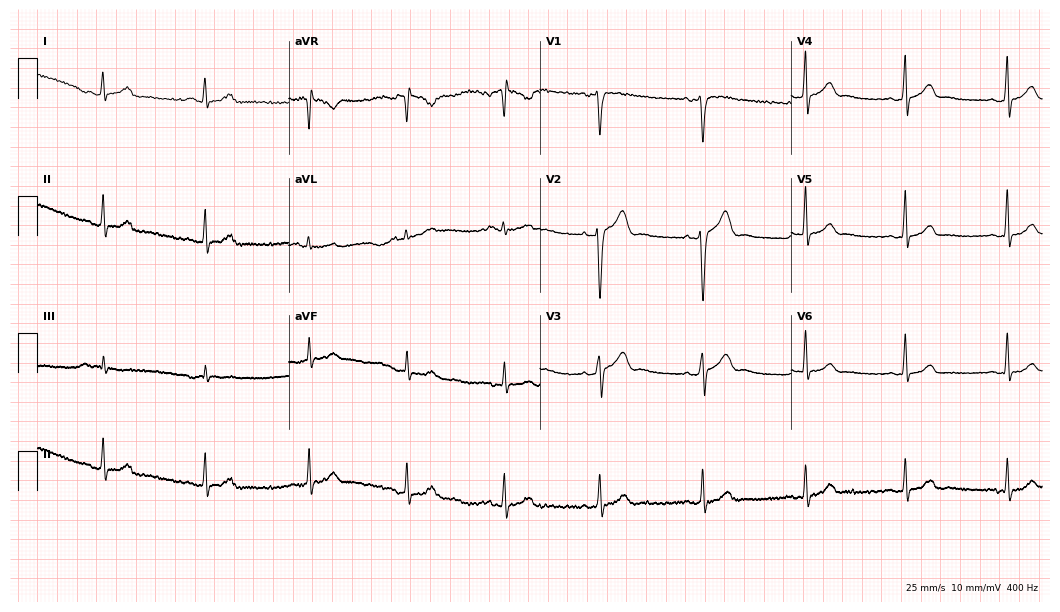
Resting 12-lead electrocardiogram. Patient: a male, 33 years old. Read as a normal ECG.